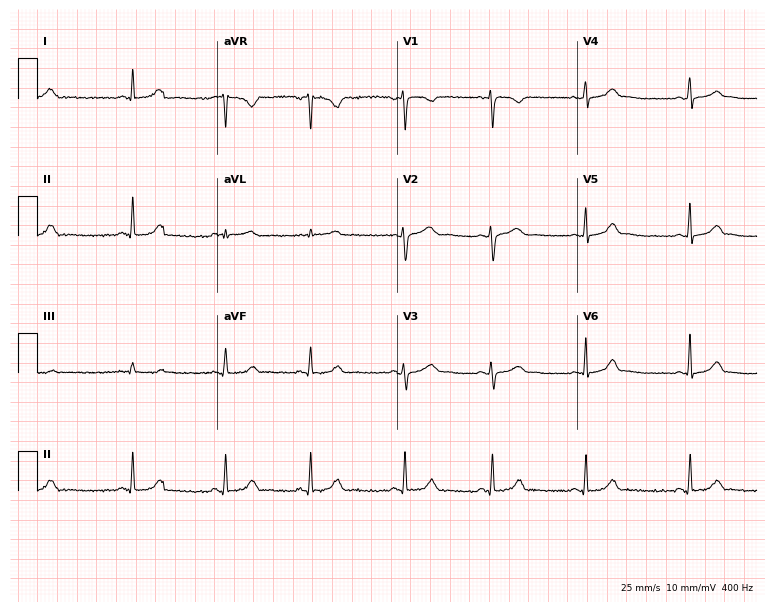
ECG (7.3-second recording at 400 Hz) — a 26-year-old female. Screened for six findings — first-degree AV block, right bundle branch block, left bundle branch block, sinus bradycardia, atrial fibrillation, sinus tachycardia — none is recorded.